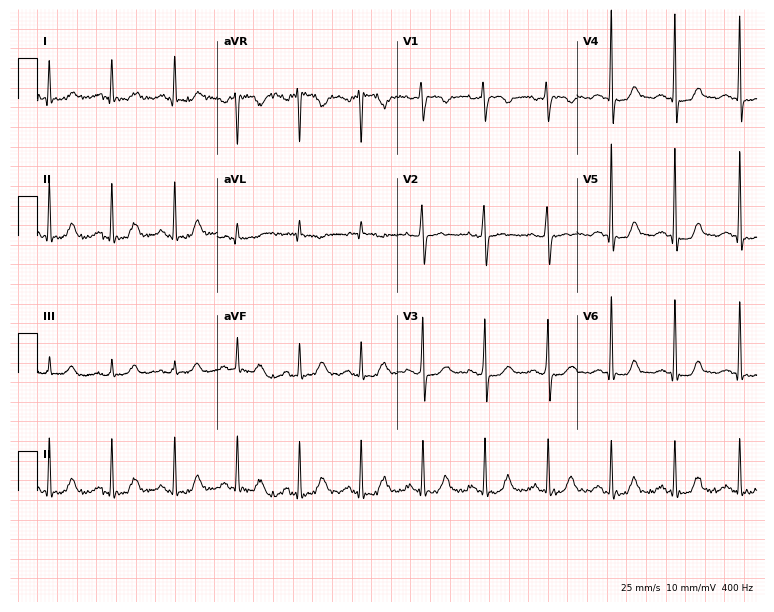
12-lead ECG from a woman, 55 years old (7.3-second recording at 400 Hz). Recorded interpretation: within normal limits.